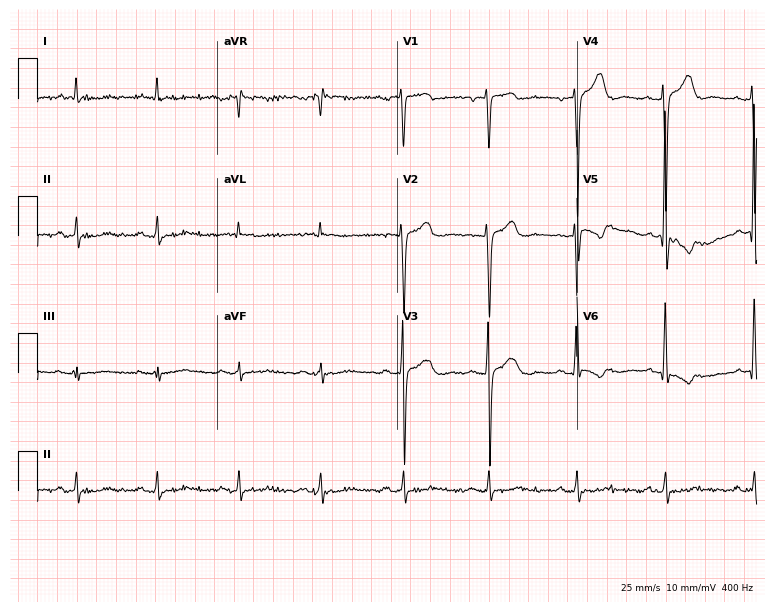
12-lead ECG from a 67-year-old male. No first-degree AV block, right bundle branch block, left bundle branch block, sinus bradycardia, atrial fibrillation or sinus tachycardia recorded for this tracing.